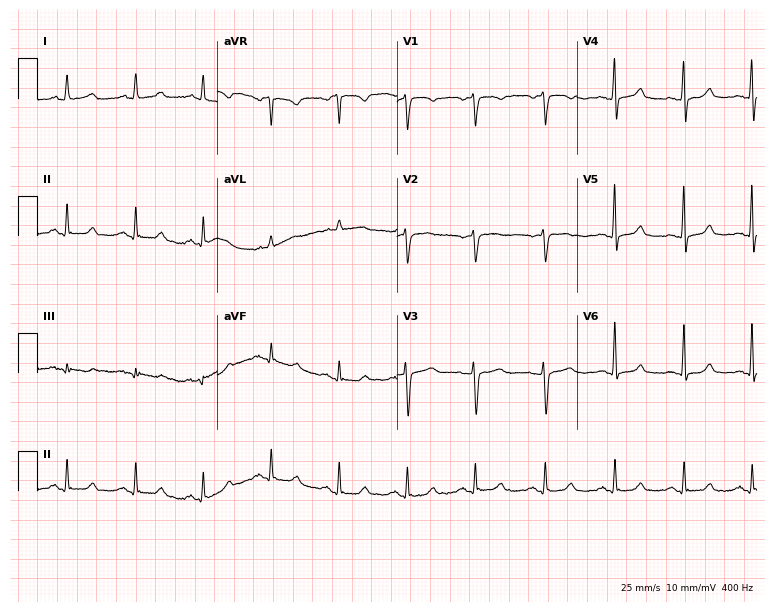
Electrocardiogram (7.3-second recording at 400 Hz), a 73-year-old female patient. Overall reading on record: normal ECG.